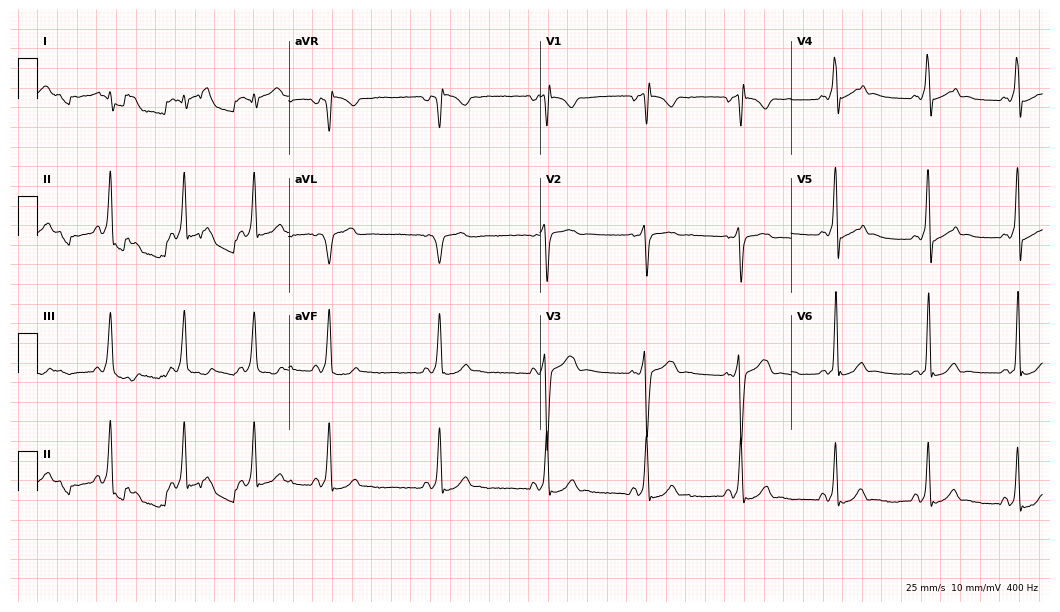
Electrocardiogram (10.2-second recording at 400 Hz), an 18-year-old male. Of the six screened findings (first-degree AV block, right bundle branch block, left bundle branch block, sinus bradycardia, atrial fibrillation, sinus tachycardia), none is recorded. Only these six findings were labelled.